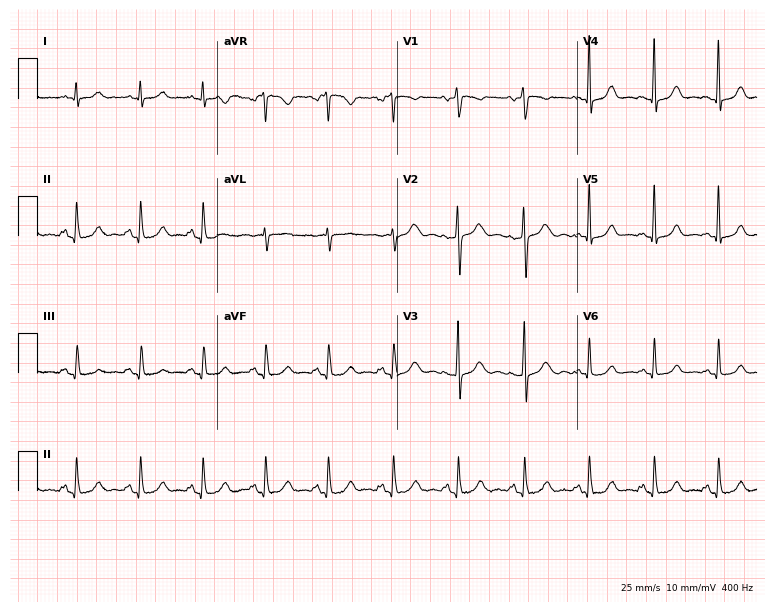
12-lead ECG from a 44-year-old woman (7.3-second recording at 400 Hz). Recorded interpretation: within normal limits.